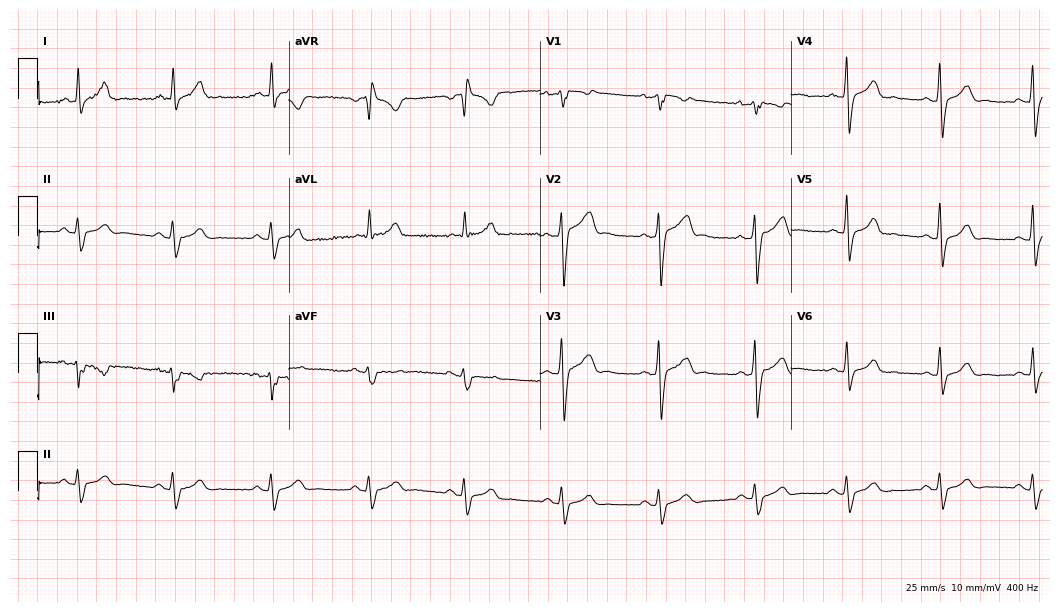
ECG (10.2-second recording at 400 Hz) — a male, 41 years old. Screened for six findings — first-degree AV block, right bundle branch block (RBBB), left bundle branch block (LBBB), sinus bradycardia, atrial fibrillation (AF), sinus tachycardia — none is recorded. Findings outside these six are not listed.